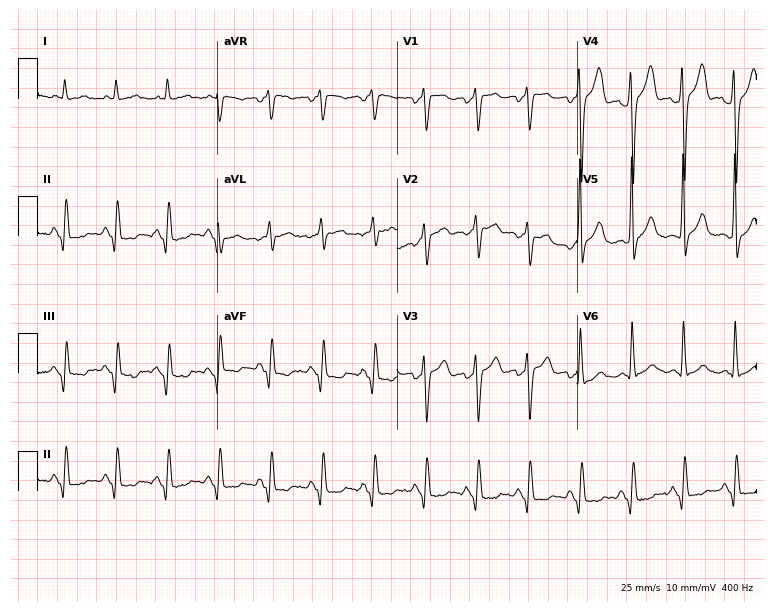
12-lead ECG (7.3-second recording at 400 Hz) from a man, 75 years old. Findings include sinus tachycardia (a sinus rate of 100 beats per minute or more).